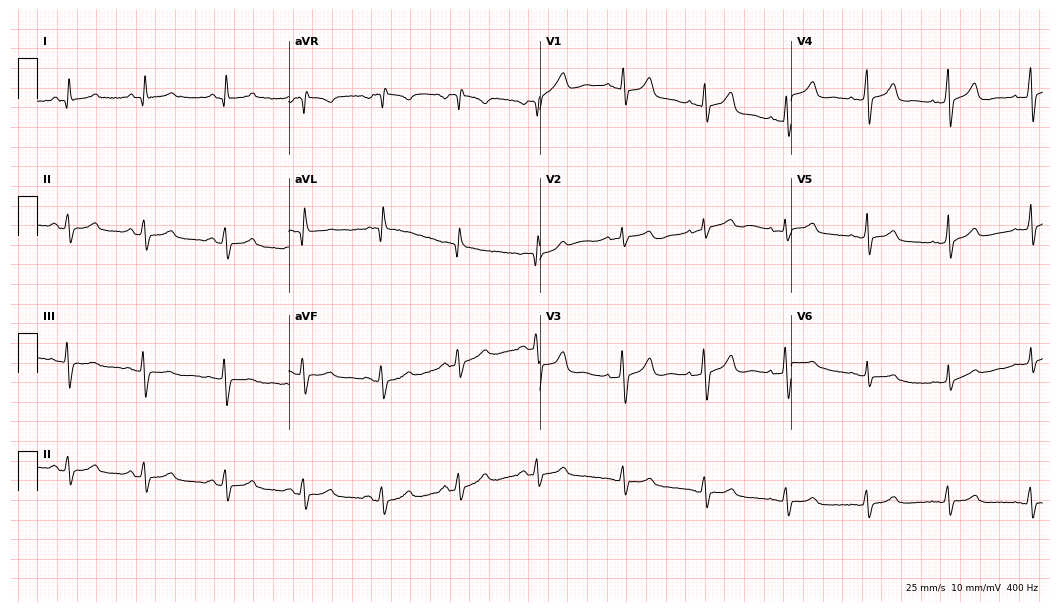
12-lead ECG (10.2-second recording at 400 Hz) from a woman, 69 years old. Labelled as a normal ECG.